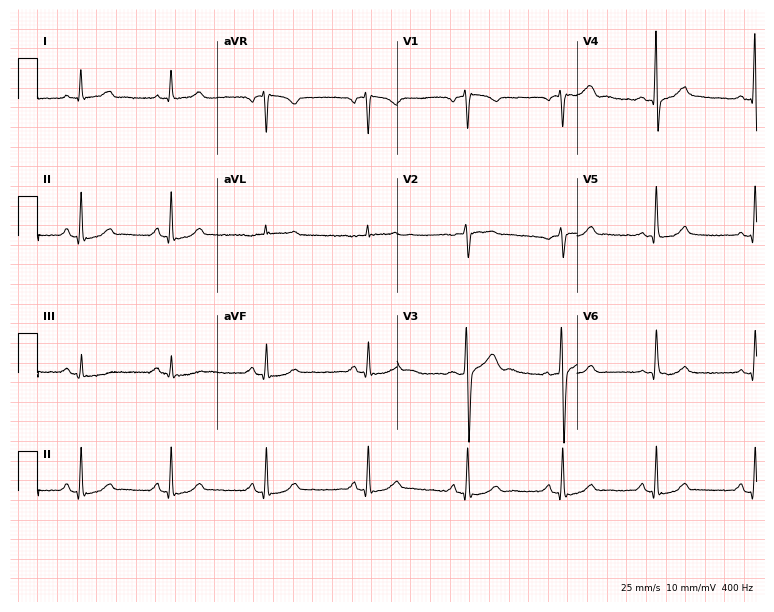
Resting 12-lead electrocardiogram. Patient: a man, 51 years old. Read as a normal ECG.